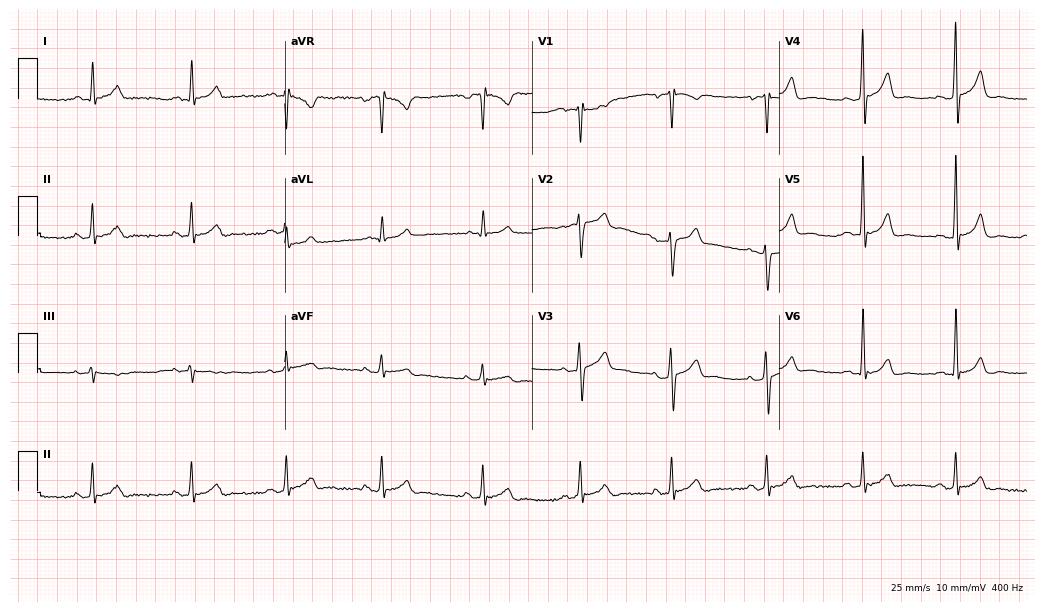
12-lead ECG from a 38-year-old man. Labelled as a normal ECG.